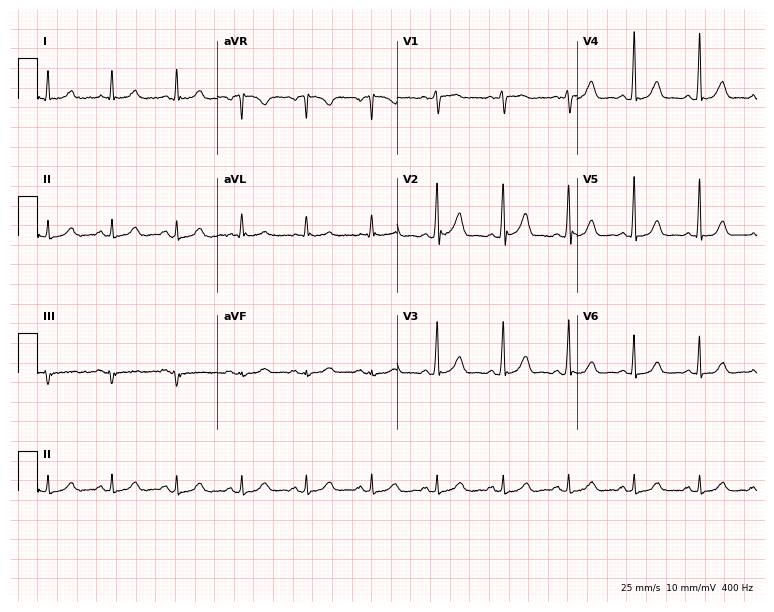
Standard 12-lead ECG recorded from a 66-year-old male patient. Read as a normal ECG.